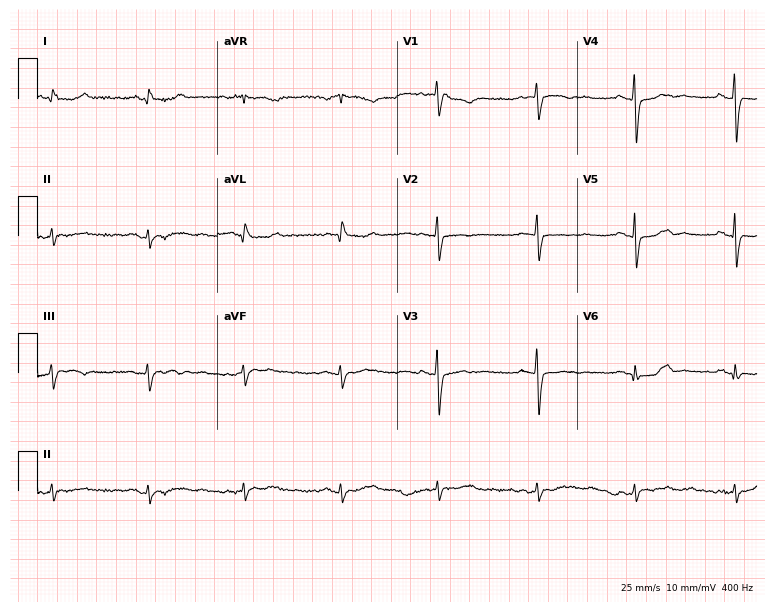
Standard 12-lead ECG recorded from a female patient, 80 years old (7.3-second recording at 400 Hz). None of these six findings is recorded: first-degree AV block, right bundle branch block, left bundle branch block, sinus bradycardia, atrial fibrillation, sinus tachycardia.